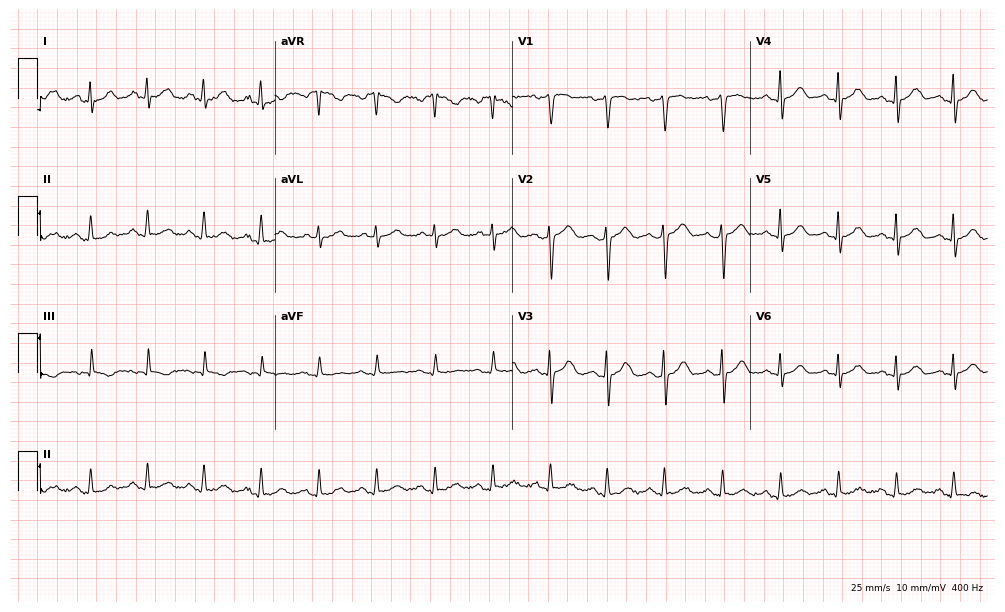
Electrocardiogram (9.7-second recording at 400 Hz), a 63-year-old woman. Overall reading on record: normal ECG.